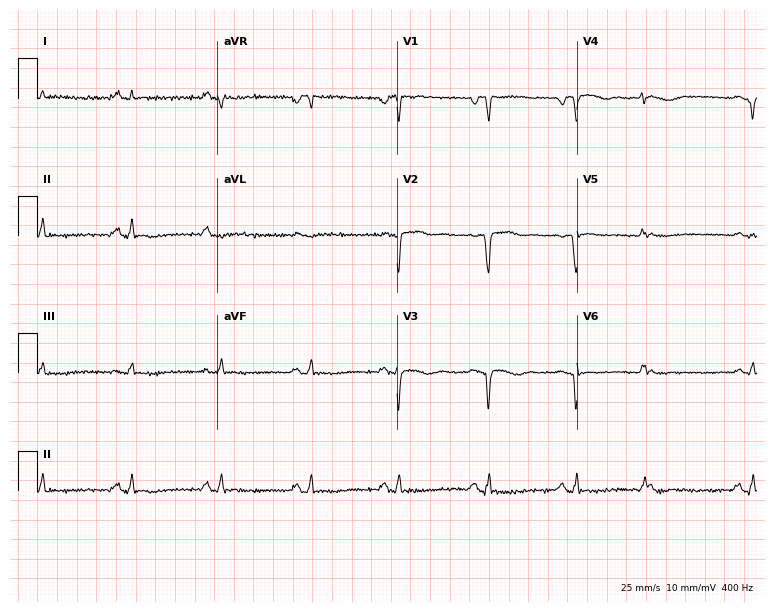
Standard 12-lead ECG recorded from a 49-year-old female patient. Read as a normal ECG.